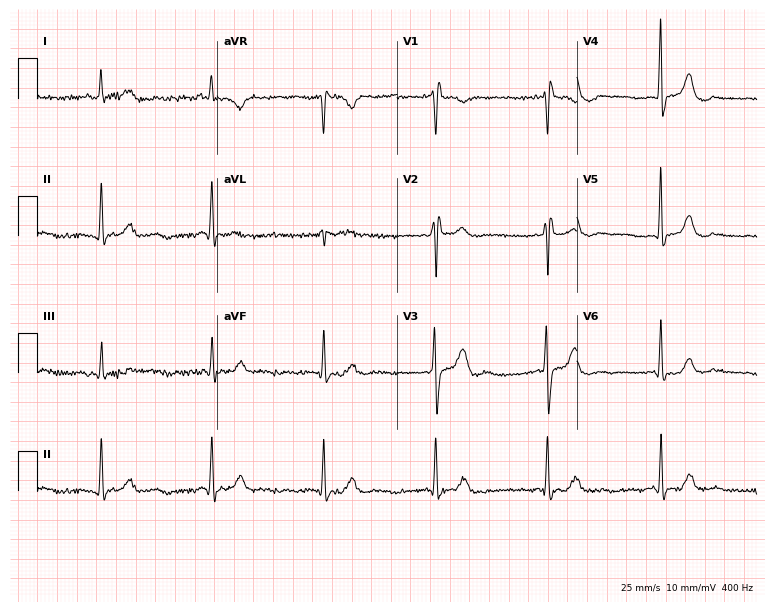
Resting 12-lead electrocardiogram (7.3-second recording at 400 Hz). Patient: an 83-year-old male. The tracing shows atrial fibrillation.